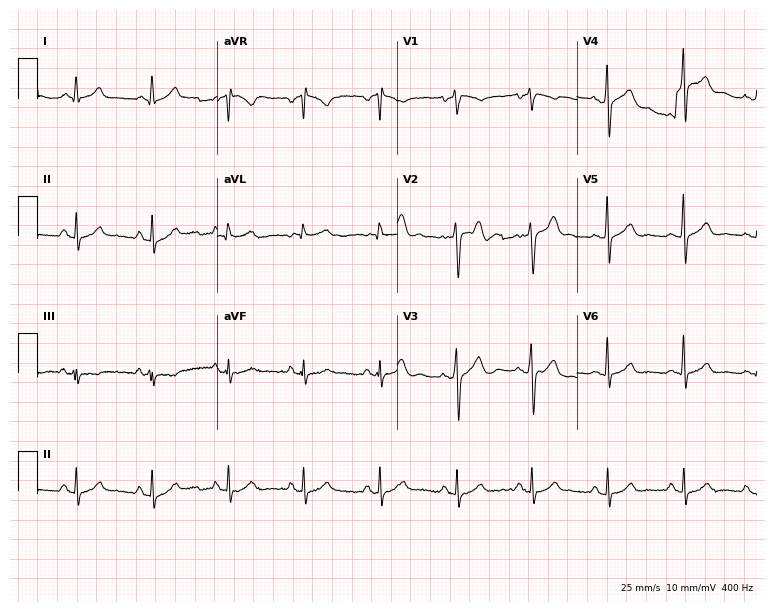
Standard 12-lead ECG recorded from a male patient, 45 years old. None of these six findings is recorded: first-degree AV block, right bundle branch block, left bundle branch block, sinus bradycardia, atrial fibrillation, sinus tachycardia. Findings outside these six are not listed.